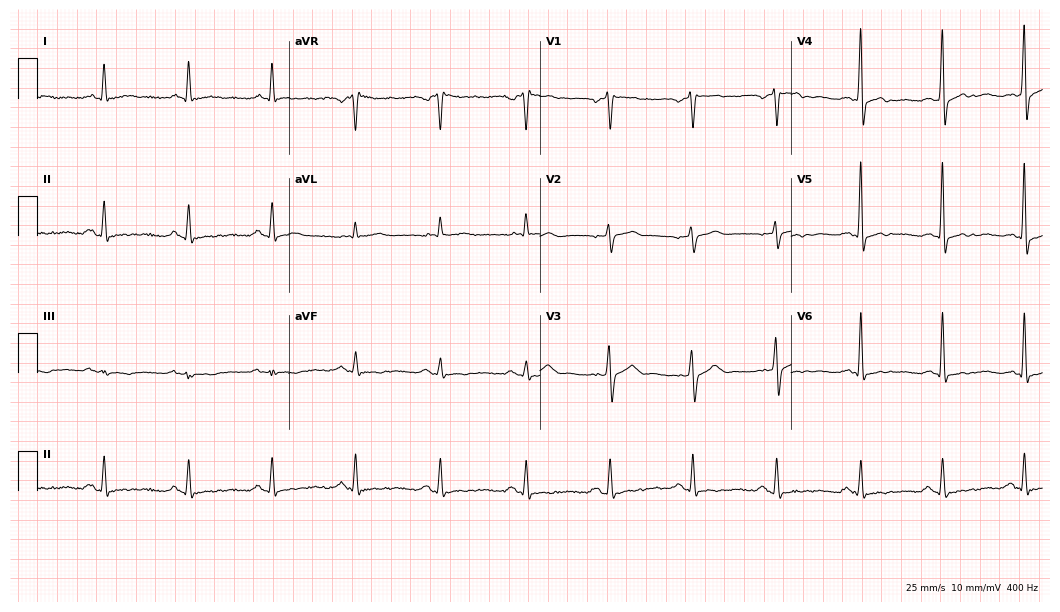
Standard 12-lead ECG recorded from a 52-year-old man (10.2-second recording at 400 Hz). None of these six findings is recorded: first-degree AV block, right bundle branch block (RBBB), left bundle branch block (LBBB), sinus bradycardia, atrial fibrillation (AF), sinus tachycardia. Only these six findings were labelled.